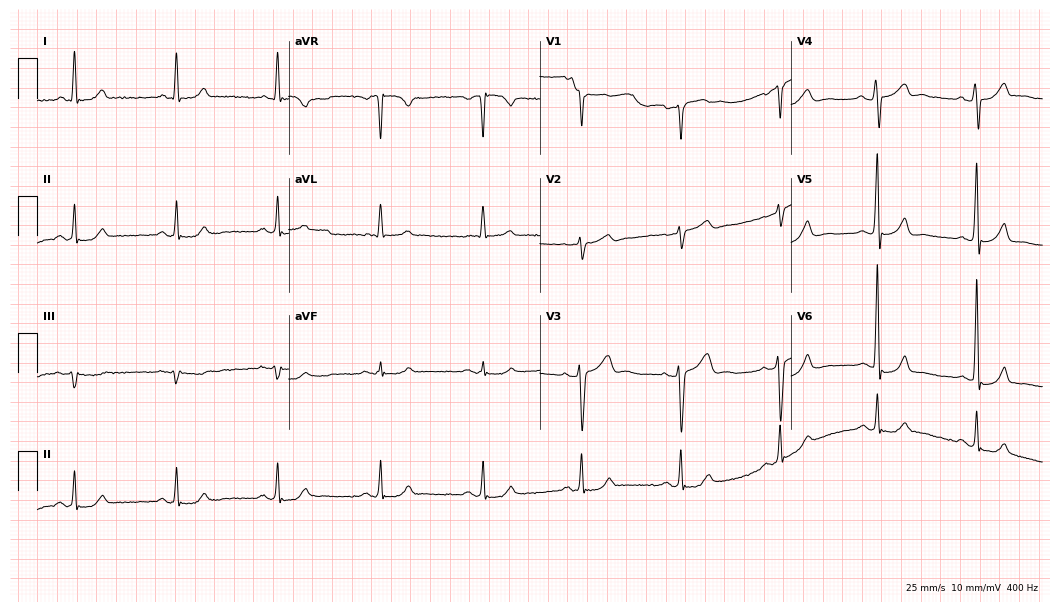
Electrocardiogram, a 57-year-old male patient. Of the six screened findings (first-degree AV block, right bundle branch block (RBBB), left bundle branch block (LBBB), sinus bradycardia, atrial fibrillation (AF), sinus tachycardia), none is recorded.